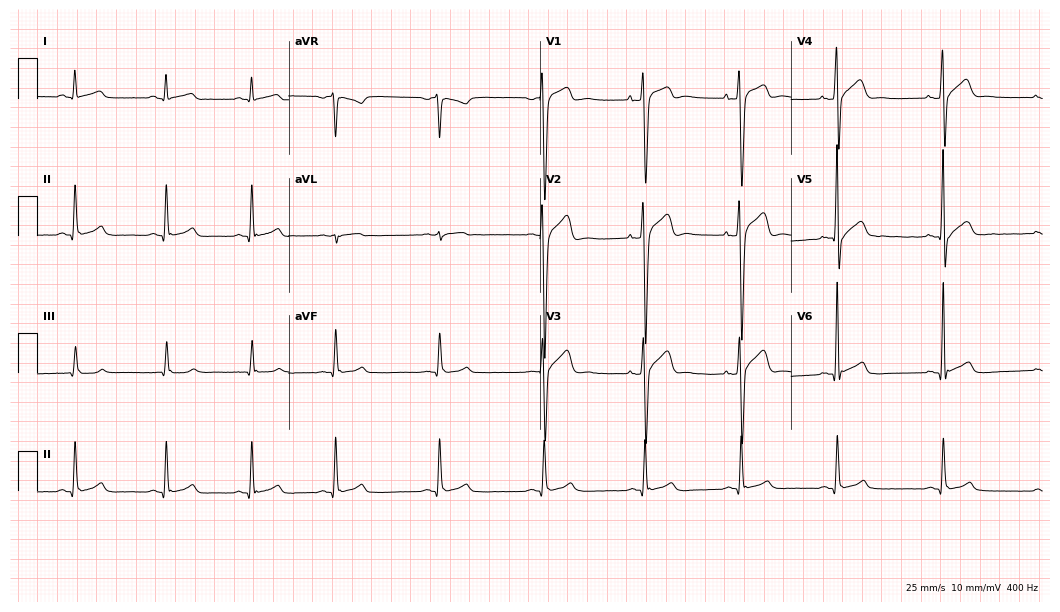
Electrocardiogram, a 34-year-old male patient. Of the six screened findings (first-degree AV block, right bundle branch block, left bundle branch block, sinus bradycardia, atrial fibrillation, sinus tachycardia), none is recorded. Other findings, if any, are not listed.